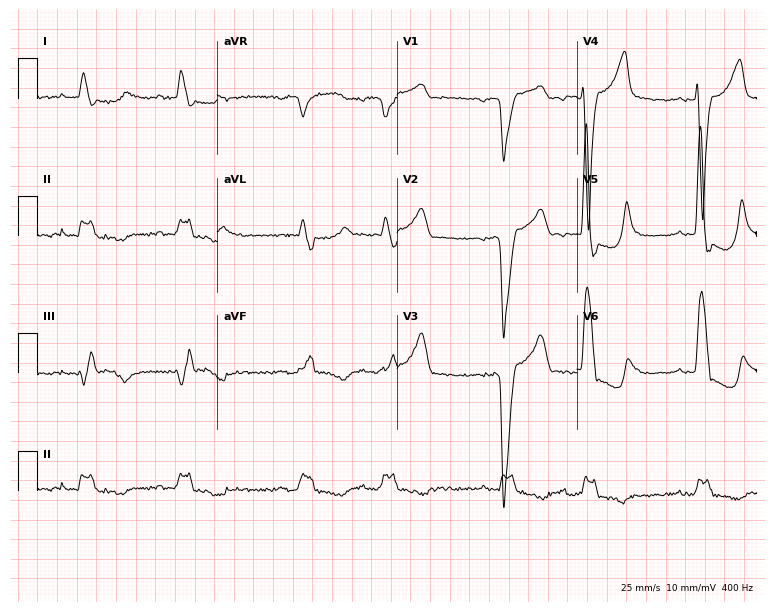
Resting 12-lead electrocardiogram (7.3-second recording at 400 Hz). Patient: a 79-year-old male. The tracing shows left bundle branch block (LBBB).